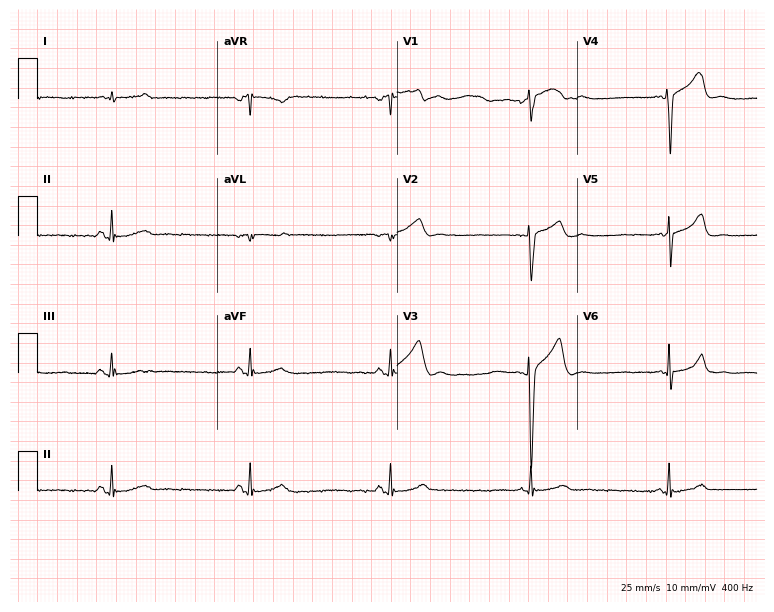
12-lead ECG from a 49-year-old male (7.3-second recording at 400 Hz). Shows right bundle branch block (RBBB), sinus bradycardia (a sinus rate of 50 beats per minute or less).